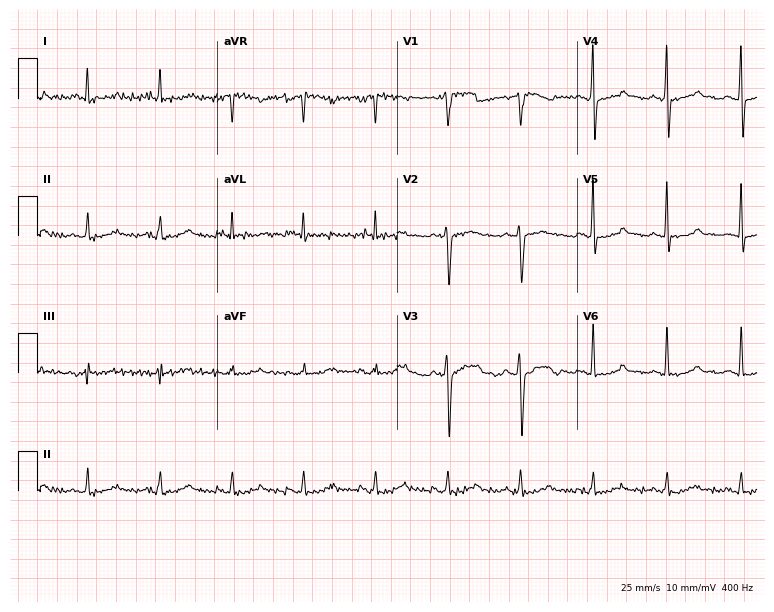
12-lead ECG from a 38-year-old man. Labelled as a normal ECG.